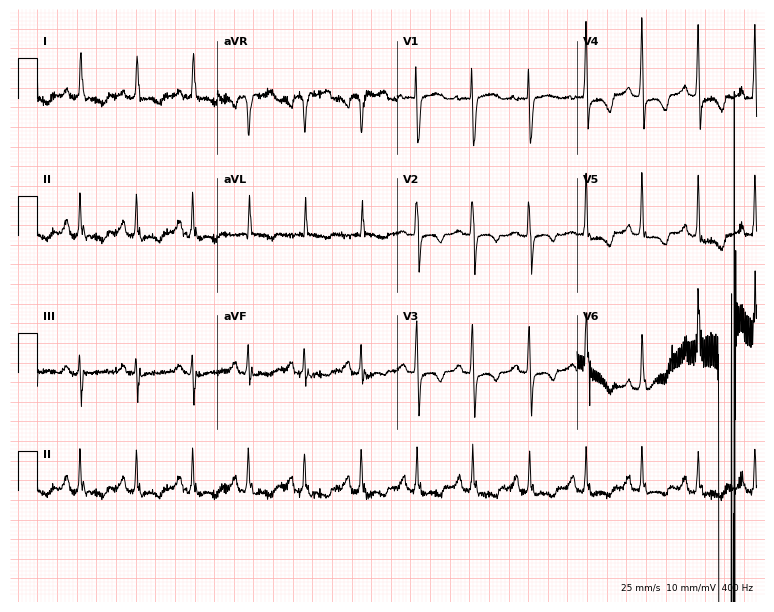
Standard 12-lead ECG recorded from an 80-year-old female (7.3-second recording at 400 Hz). None of these six findings is recorded: first-degree AV block, right bundle branch block, left bundle branch block, sinus bradycardia, atrial fibrillation, sinus tachycardia. Findings outside these six are not listed.